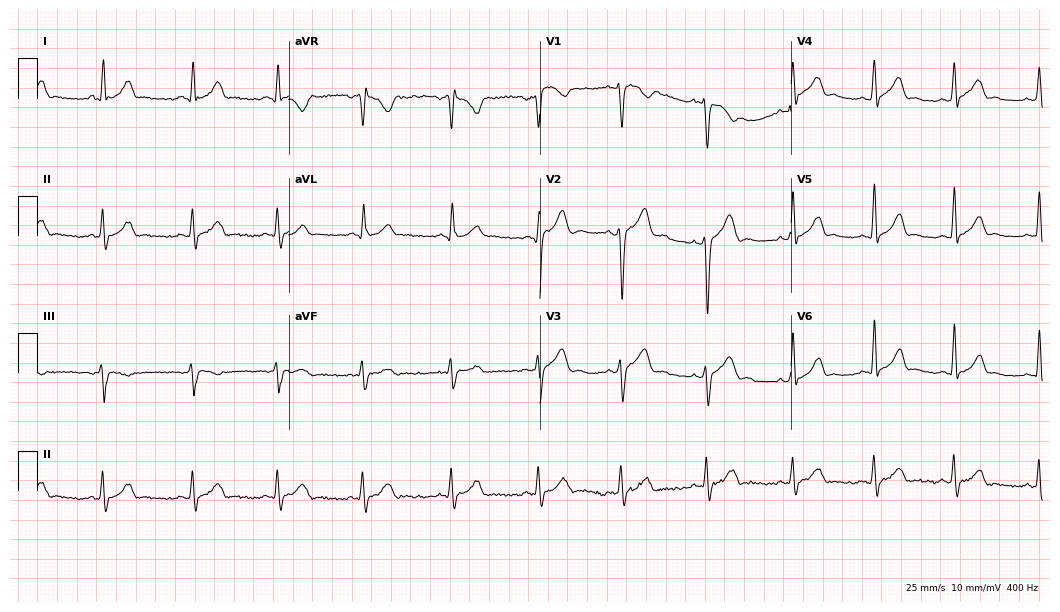
ECG (10.2-second recording at 400 Hz) — a male patient, 26 years old. Screened for six findings — first-degree AV block, right bundle branch block (RBBB), left bundle branch block (LBBB), sinus bradycardia, atrial fibrillation (AF), sinus tachycardia — none is recorded. Other findings, if any, are not listed.